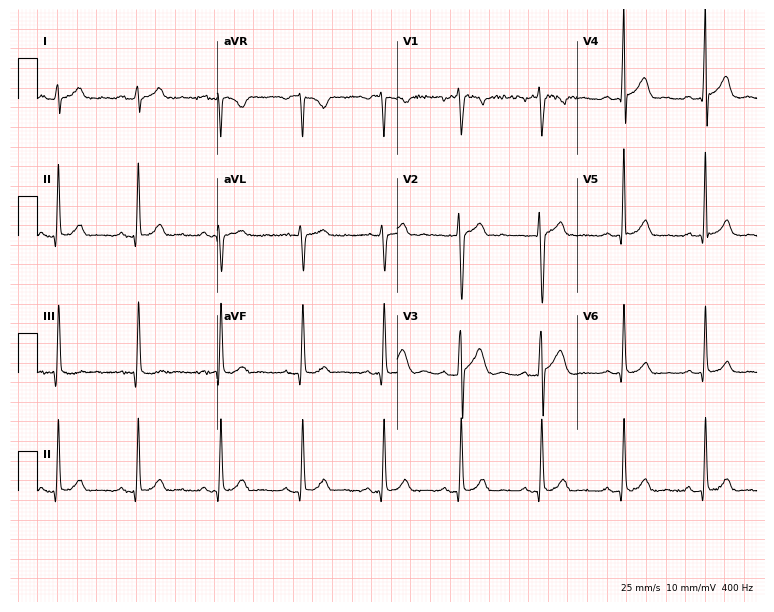
12-lead ECG from a 23-year-old man. Recorded interpretation: within normal limits.